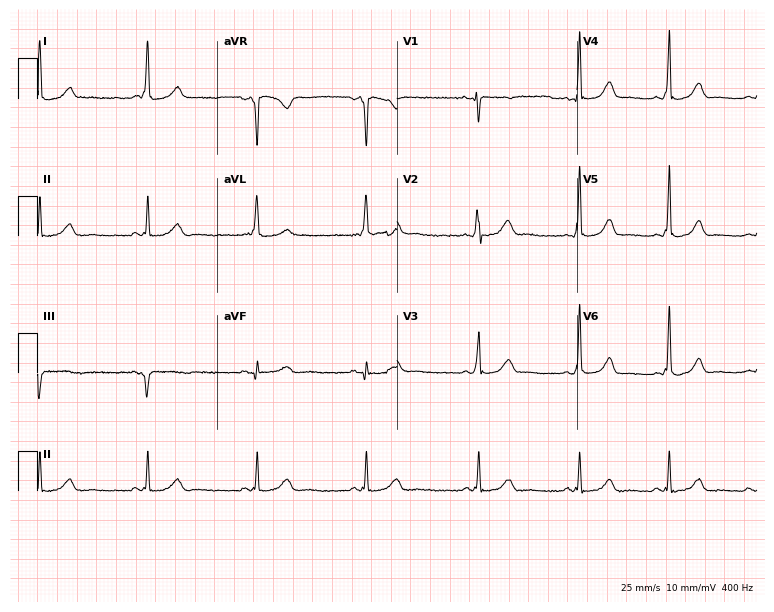
Electrocardiogram, a female patient, 39 years old. Of the six screened findings (first-degree AV block, right bundle branch block, left bundle branch block, sinus bradycardia, atrial fibrillation, sinus tachycardia), none is recorded.